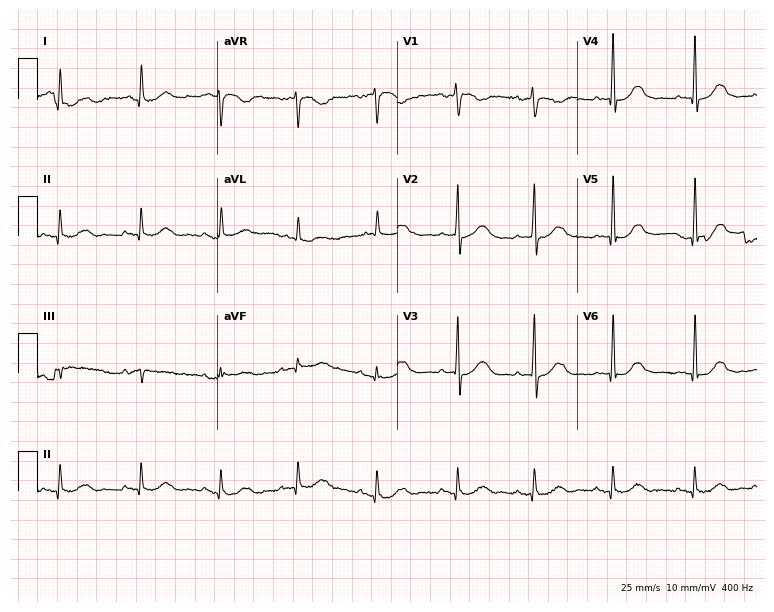
Resting 12-lead electrocardiogram. Patient: a 79-year-old female. Read as a normal ECG.